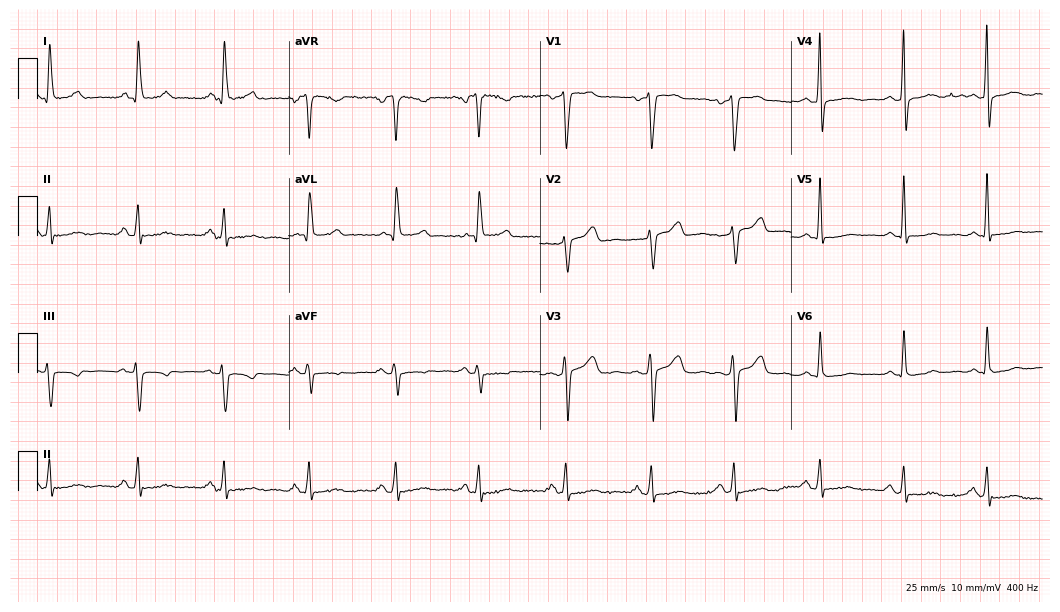
ECG (10.2-second recording at 400 Hz) — a female patient, 60 years old. Screened for six findings — first-degree AV block, right bundle branch block, left bundle branch block, sinus bradycardia, atrial fibrillation, sinus tachycardia — none is recorded. Only these six findings were labelled.